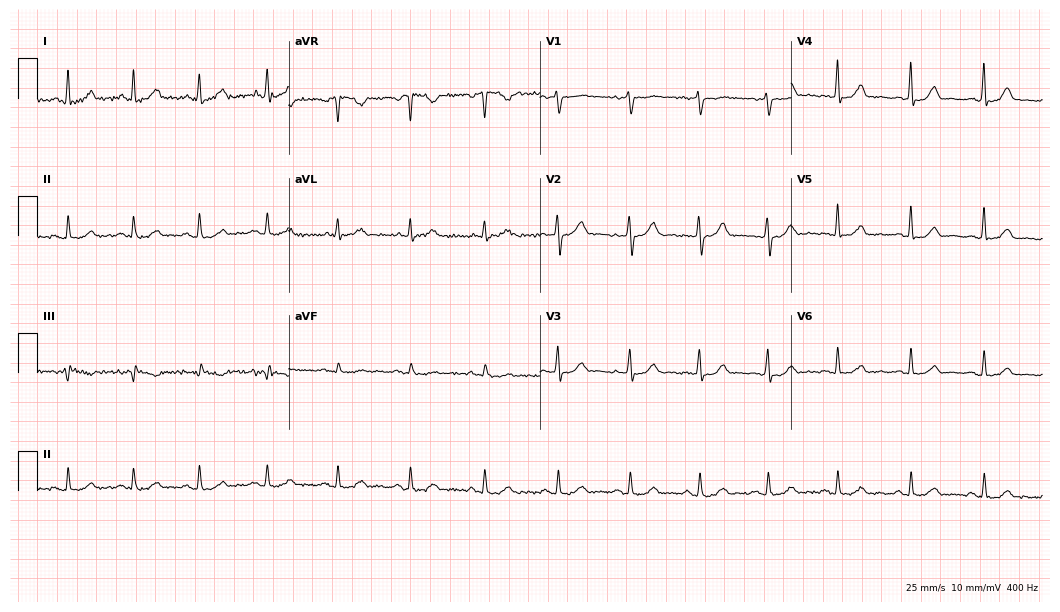
12-lead ECG from a female, 44 years old. Labelled as a normal ECG.